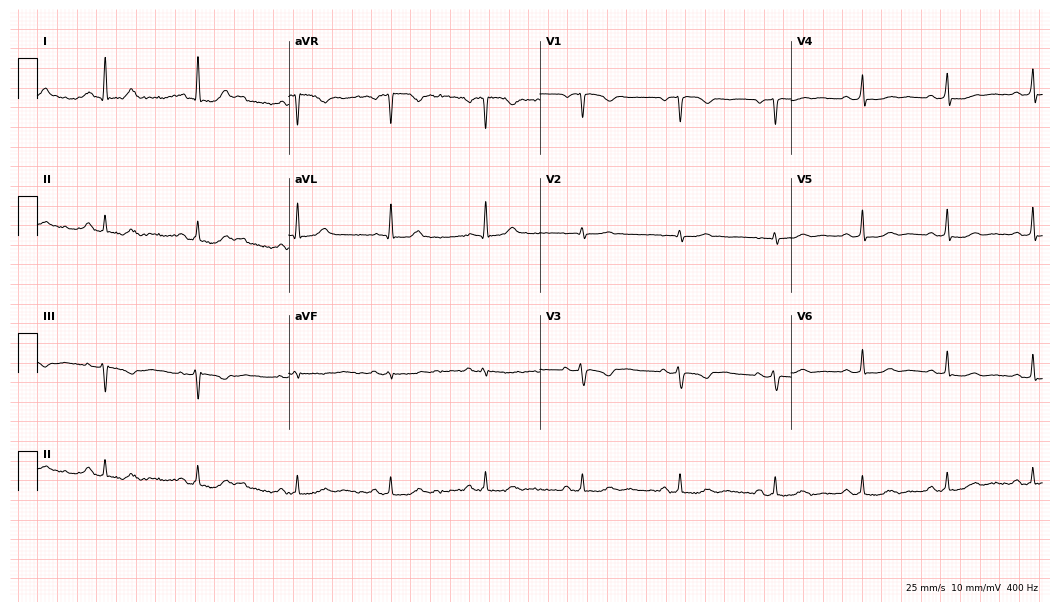
Standard 12-lead ECG recorded from a woman, 43 years old (10.2-second recording at 400 Hz). None of these six findings is recorded: first-degree AV block, right bundle branch block (RBBB), left bundle branch block (LBBB), sinus bradycardia, atrial fibrillation (AF), sinus tachycardia. Findings outside these six are not listed.